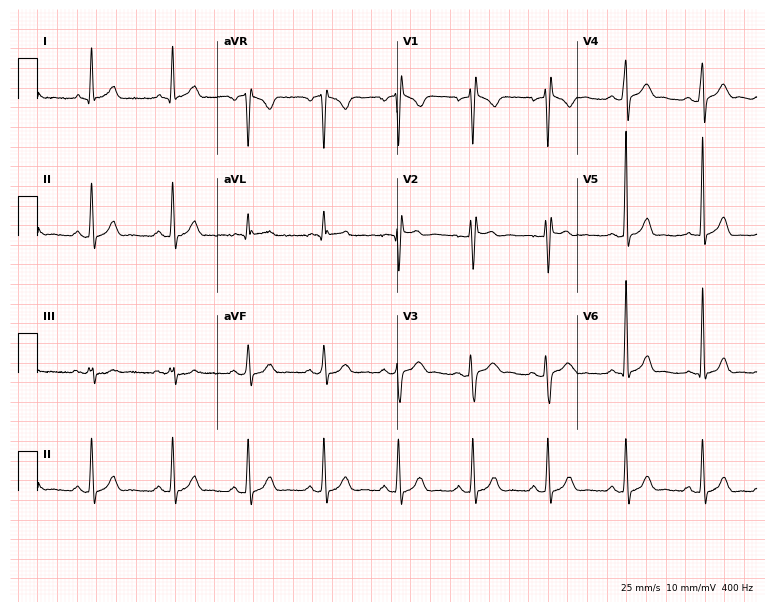
12-lead ECG from a man, 23 years old. Screened for six findings — first-degree AV block, right bundle branch block (RBBB), left bundle branch block (LBBB), sinus bradycardia, atrial fibrillation (AF), sinus tachycardia — none is recorded.